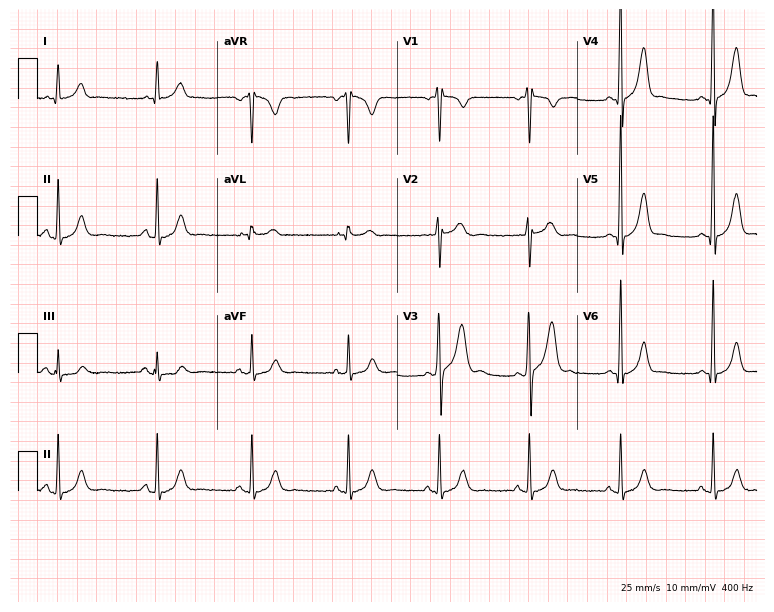
Resting 12-lead electrocardiogram. Patient: a 24-year-old male. None of these six findings is recorded: first-degree AV block, right bundle branch block, left bundle branch block, sinus bradycardia, atrial fibrillation, sinus tachycardia.